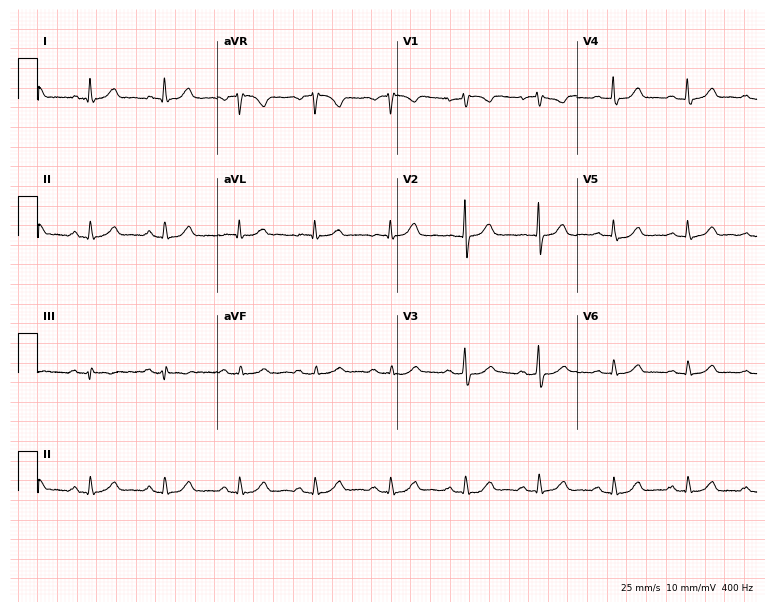
Electrocardiogram (7.3-second recording at 400 Hz), an 81-year-old woman. Overall reading on record: normal ECG.